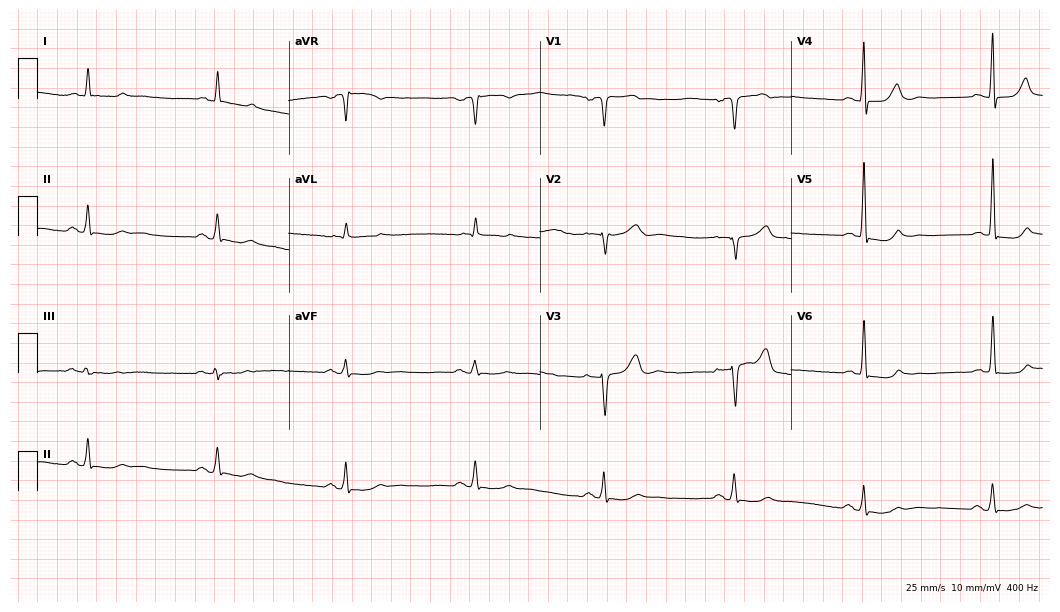
Standard 12-lead ECG recorded from a male, 84 years old. The tracing shows sinus bradycardia (a sinus rate of 50 beats per minute or less).